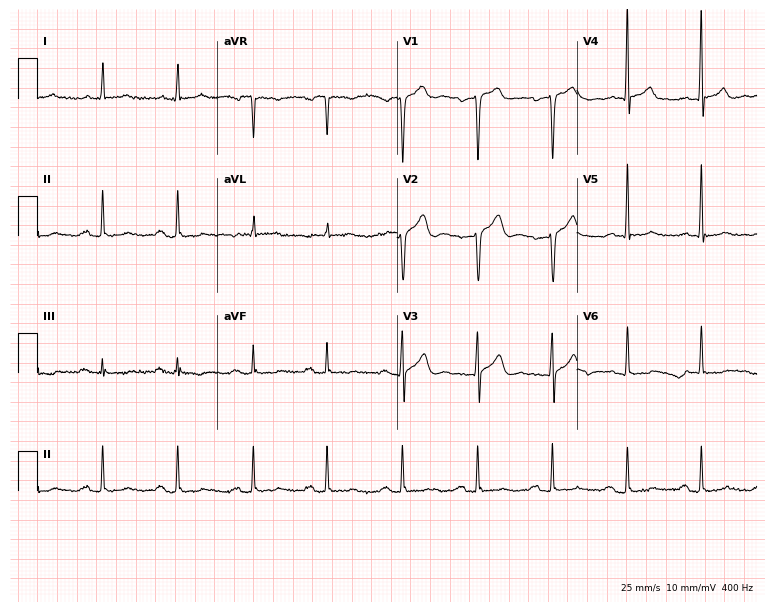
ECG (7.3-second recording at 400 Hz) — a 79-year-old male. Findings include first-degree AV block.